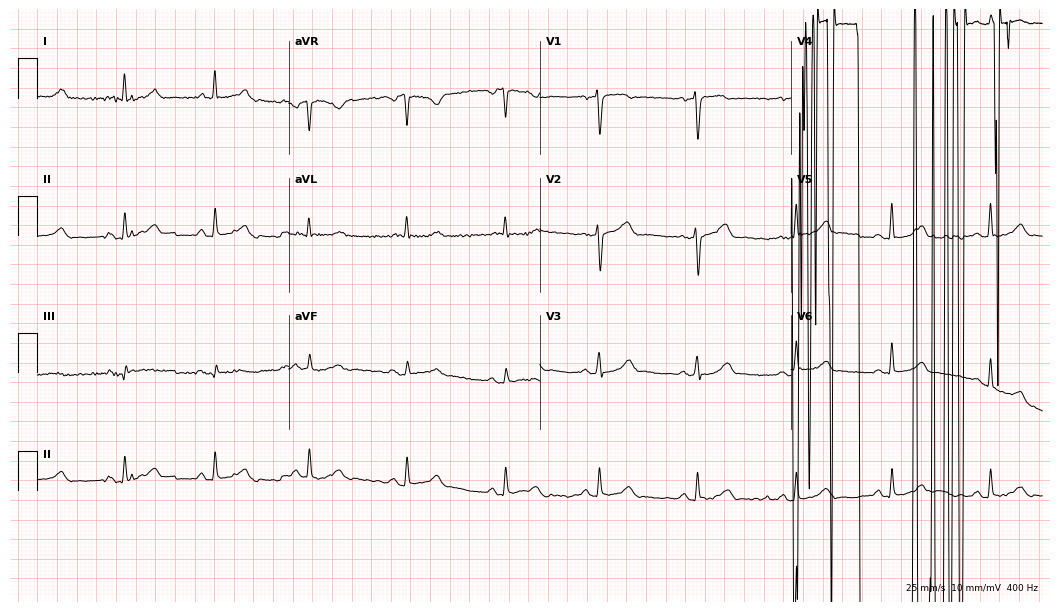
ECG — a female patient, 59 years old. Screened for six findings — first-degree AV block, right bundle branch block, left bundle branch block, sinus bradycardia, atrial fibrillation, sinus tachycardia — none is recorded.